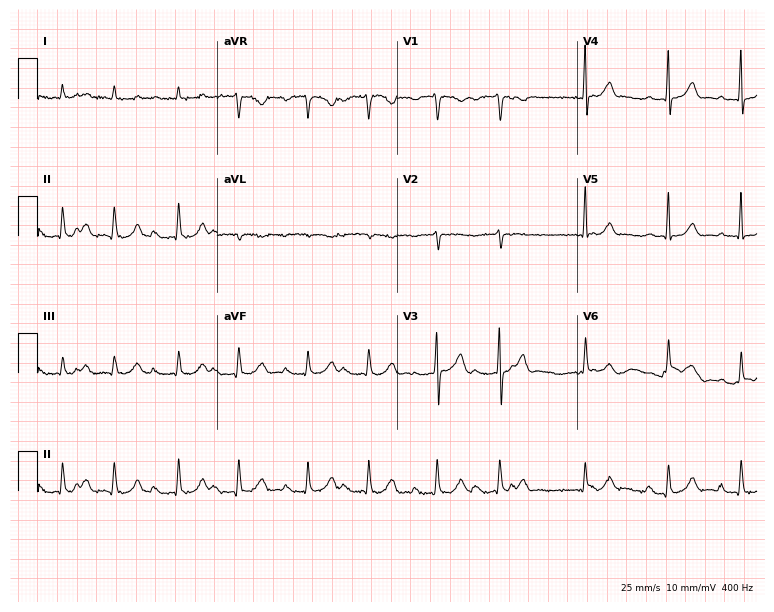
ECG (7.3-second recording at 400 Hz) — a man, 82 years old. Findings include first-degree AV block.